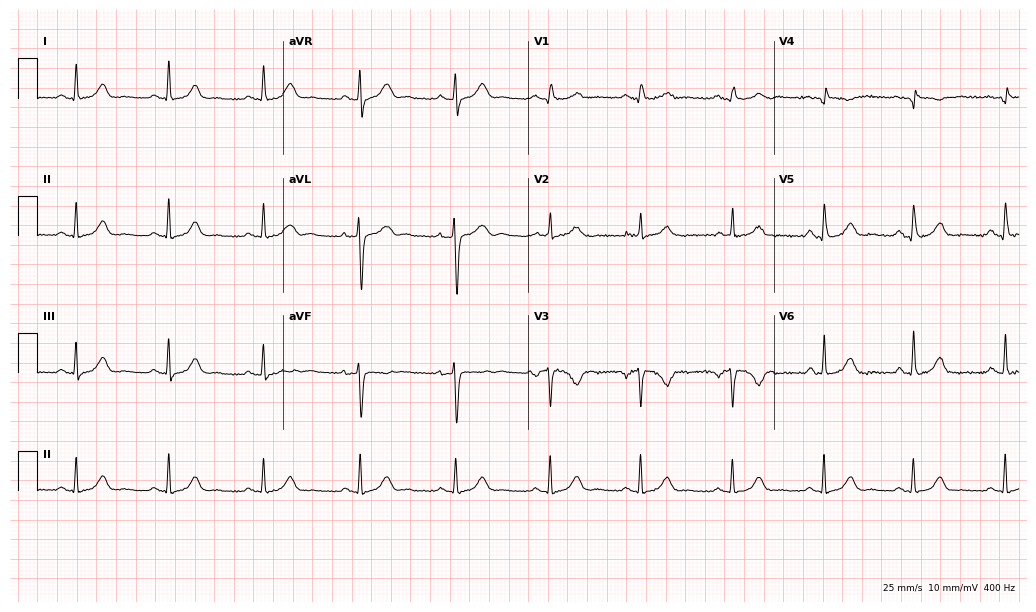
Resting 12-lead electrocardiogram (10-second recording at 400 Hz). Patient: a female, 50 years old. None of these six findings is recorded: first-degree AV block, right bundle branch block, left bundle branch block, sinus bradycardia, atrial fibrillation, sinus tachycardia. Only these six findings were labelled.